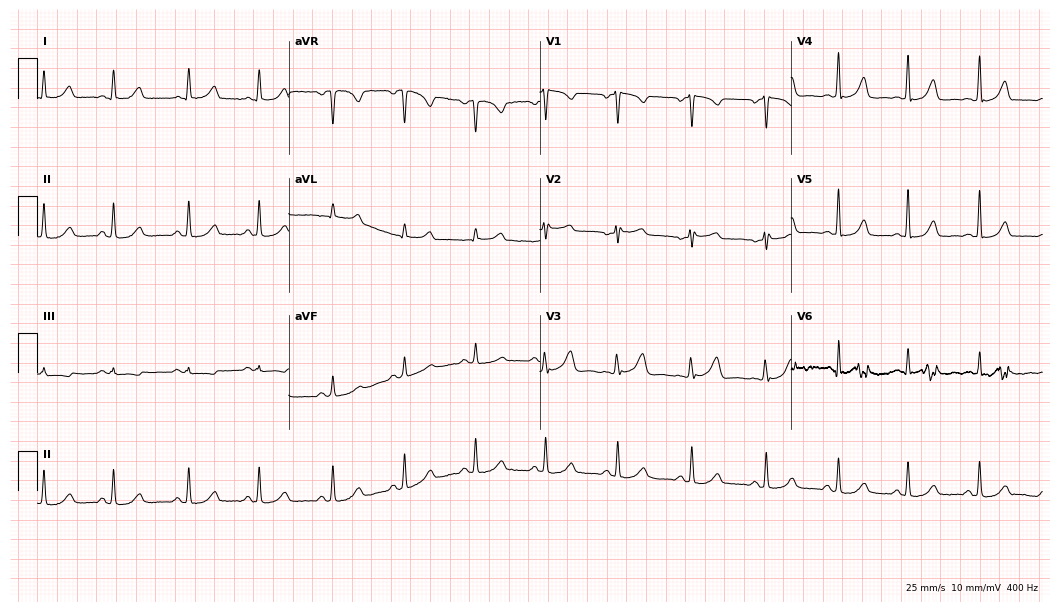
Electrocardiogram, a female, 54 years old. Overall reading on record: normal ECG.